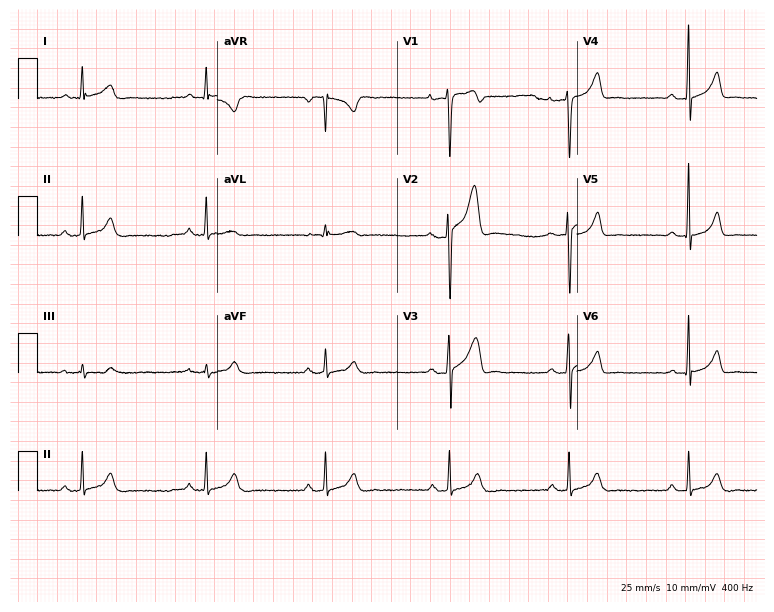
Resting 12-lead electrocardiogram (7.3-second recording at 400 Hz). Patient: a 24-year-old male. None of these six findings is recorded: first-degree AV block, right bundle branch block (RBBB), left bundle branch block (LBBB), sinus bradycardia, atrial fibrillation (AF), sinus tachycardia.